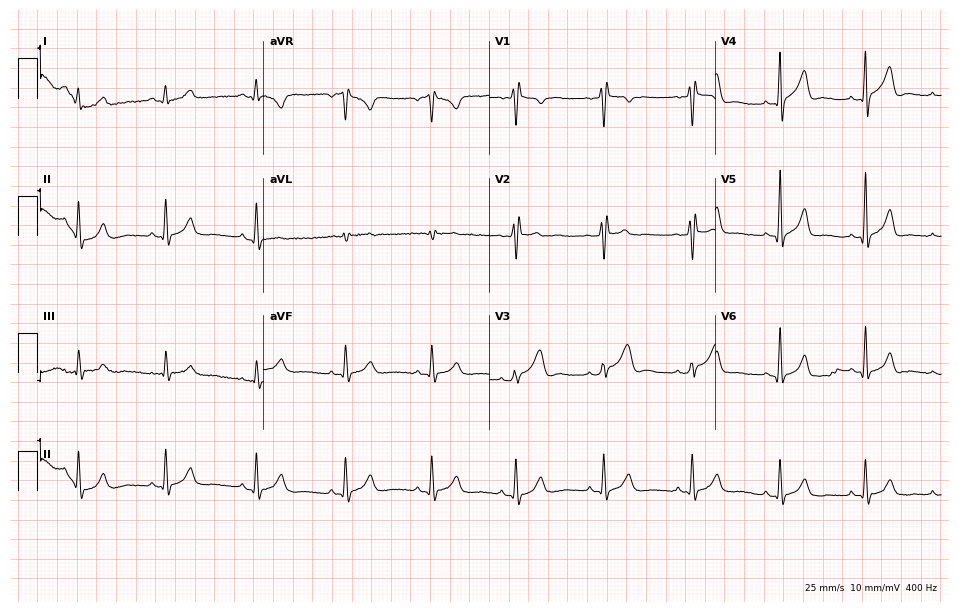
Standard 12-lead ECG recorded from a 28-year-old male patient. None of these six findings is recorded: first-degree AV block, right bundle branch block (RBBB), left bundle branch block (LBBB), sinus bradycardia, atrial fibrillation (AF), sinus tachycardia. Other findings, if any, are not listed.